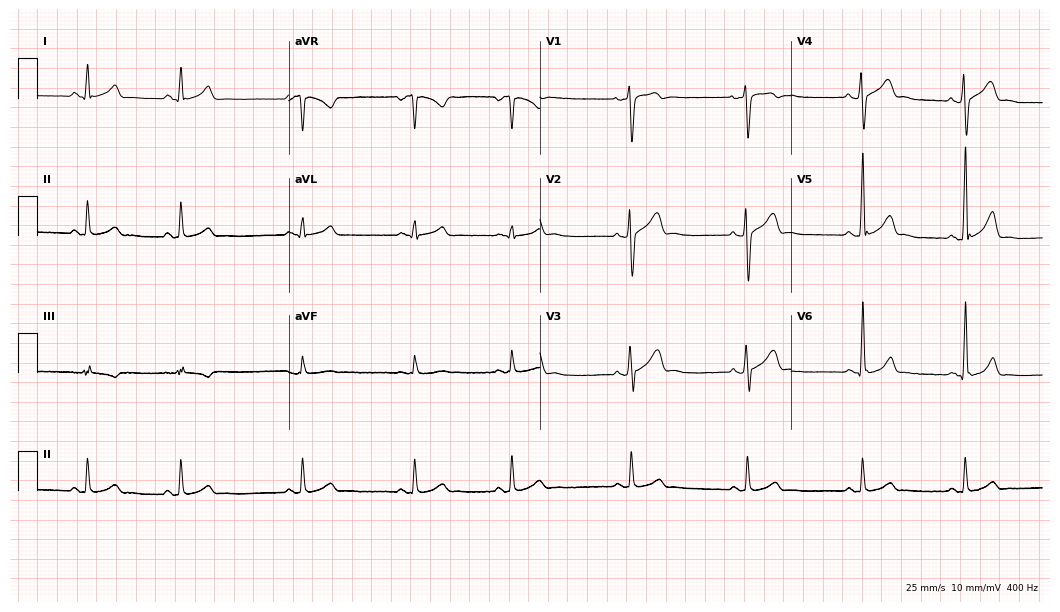
ECG — a 32-year-old male patient. Labelled as a normal ECG.